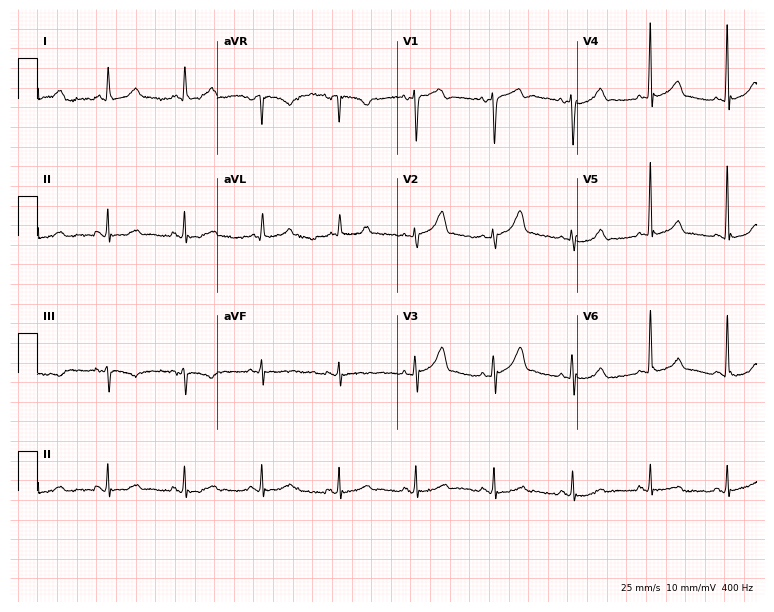
Resting 12-lead electrocardiogram (7.3-second recording at 400 Hz). Patient: a 66-year-old male. Read as a normal ECG.